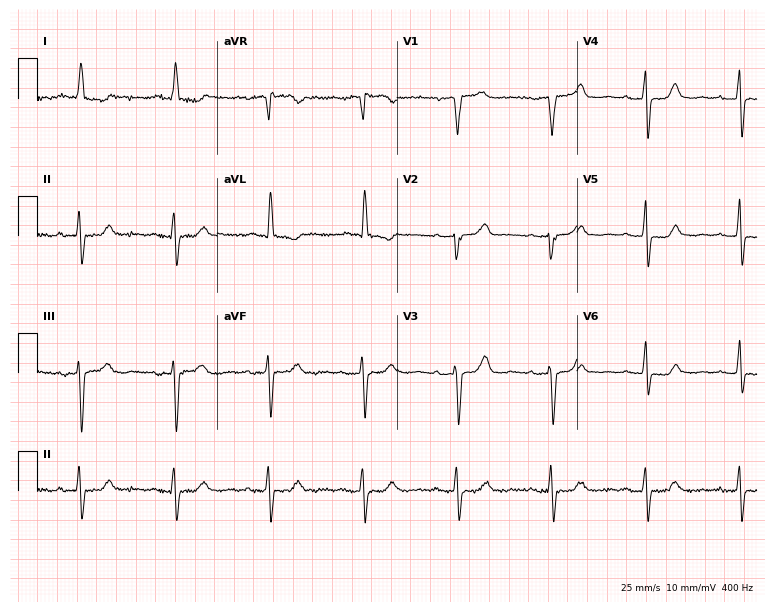
12-lead ECG from a female patient, 77 years old (7.3-second recording at 400 Hz). No first-degree AV block, right bundle branch block, left bundle branch block, sinus bradycardia, atrial fibrillation or sinus tachycardia recorded for this tracing. Other findings, if any, are not listed.